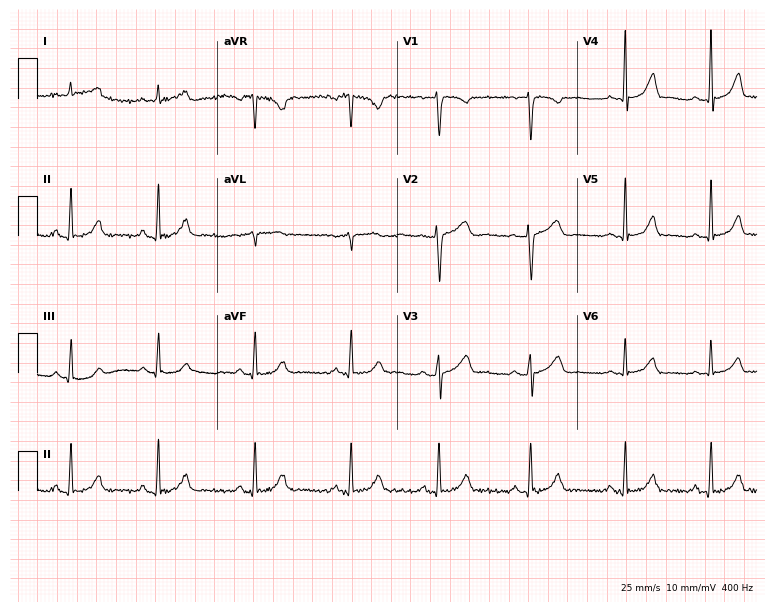
Electrocardiogram (7.3-second recording at 400 Hz), a 28-year-old female patient. Overall reading on record: normal ECG.